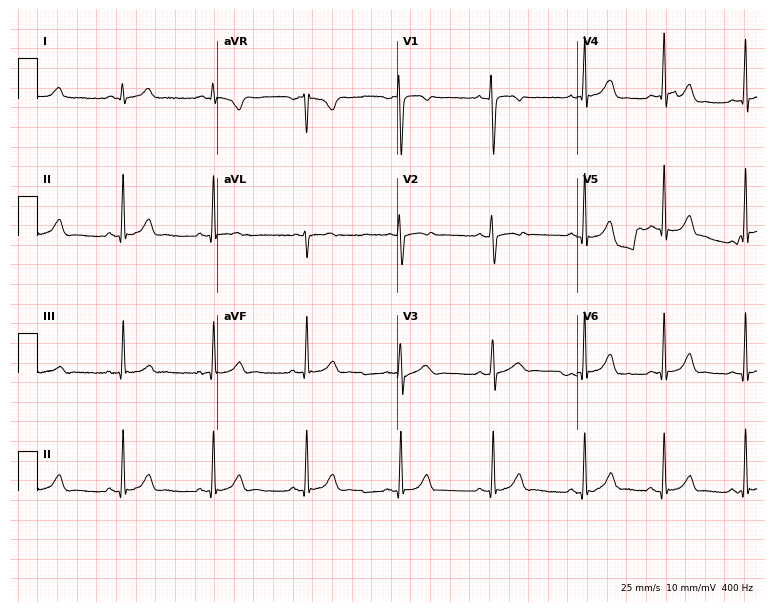
ECG (7.3-second recording at 400 Hz) — a woman, 19 years old. Screened for six findings — first-degree AV block, right bundle branch block, left bundle branch block, sinus bradycardia, atrial fibrillation, sinus tachycardia — none is recorded.